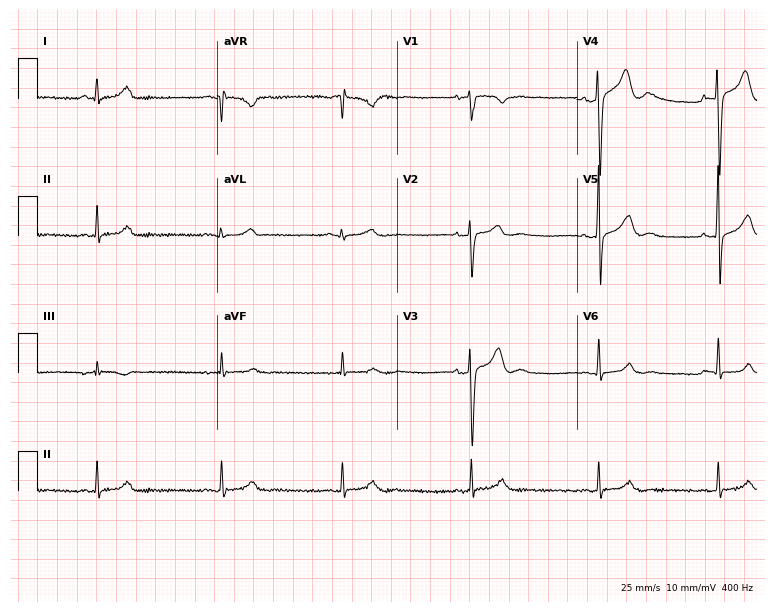
ECG — a 24-year-old male patient. Screened for six findings — first-degree AV block, right bundle branch block, left bundle branch block, sinus bradycardia, atrial fibrillation, sinus tachycardia — none is recorded.